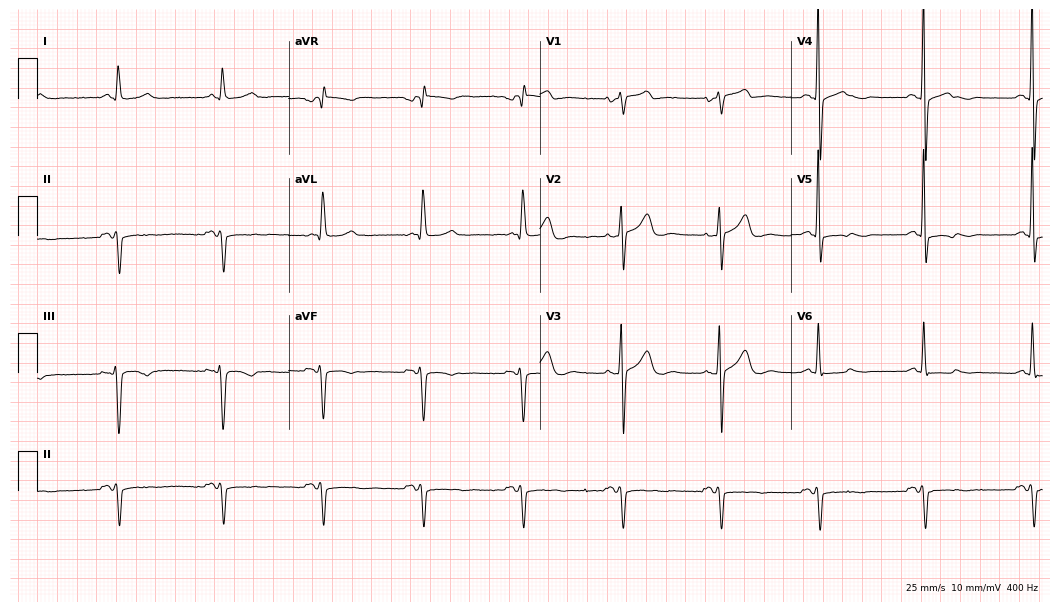
Standard 12-lead ECG recorded from a male, 68 years old. None of these six findings is recorded: first-degree AV block, right bundle branch block, left bundle branch block, sinus bradycardia, atrial fibrillation, sinus tachycardia.